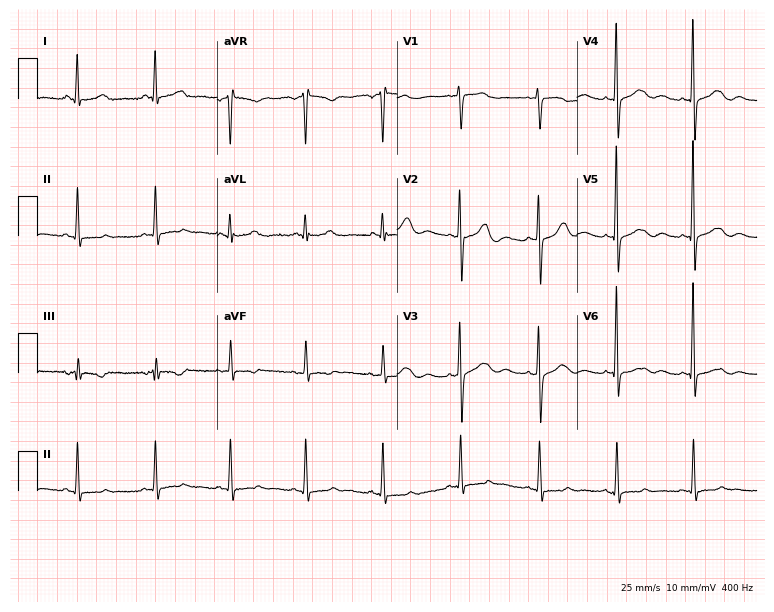
ECG (7.3-second recording at 400 Hz) — a 64-year-old woman. Screened for six findings — first-degree AV block, right bundle branch block (RBBB), left bundle branch block (LBBB), sinus bradycardia, atrial fibrillation (AF), sinus tachycardia — none is recorded. Only these six findings were labelled.